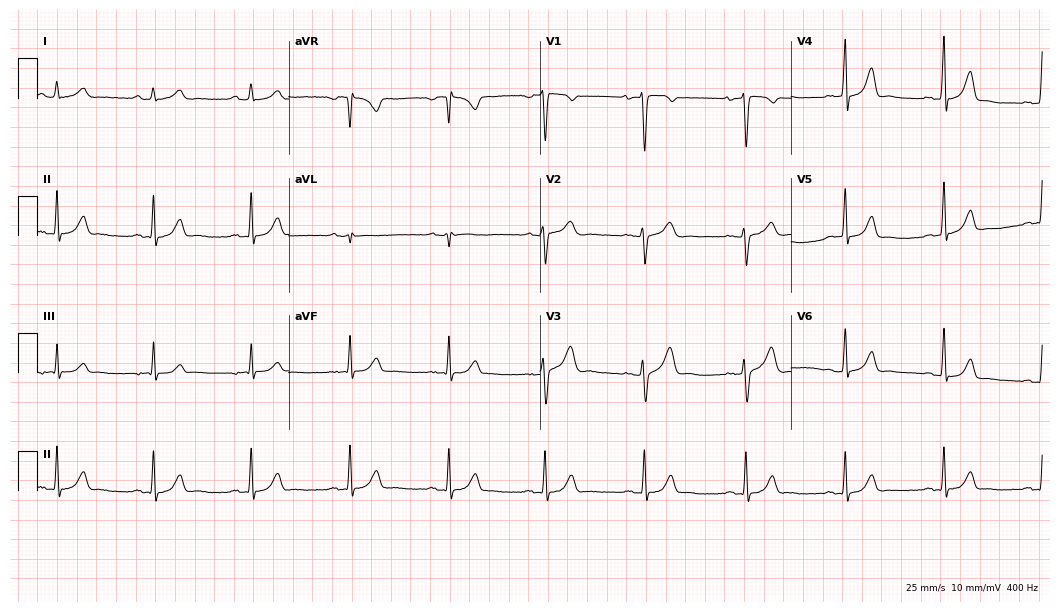
Electrocardiogram, a 45-year-old female. Overall reading on record: normal ECG.